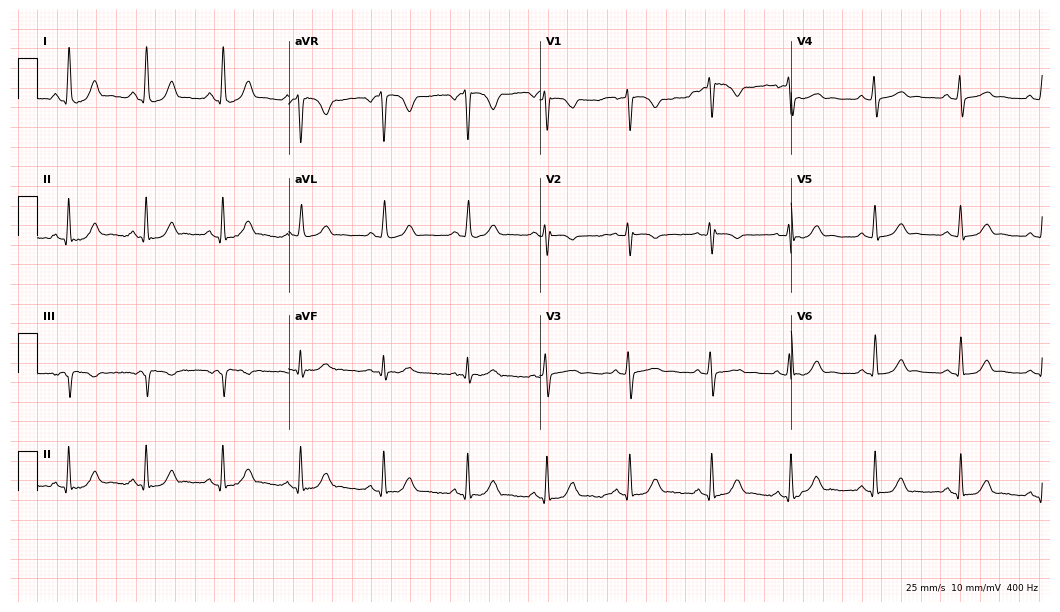
Electrocardiogram (10.2-second recording at 400 Hz), a woman, 29 years old. Overall reading on record: normal ECG.